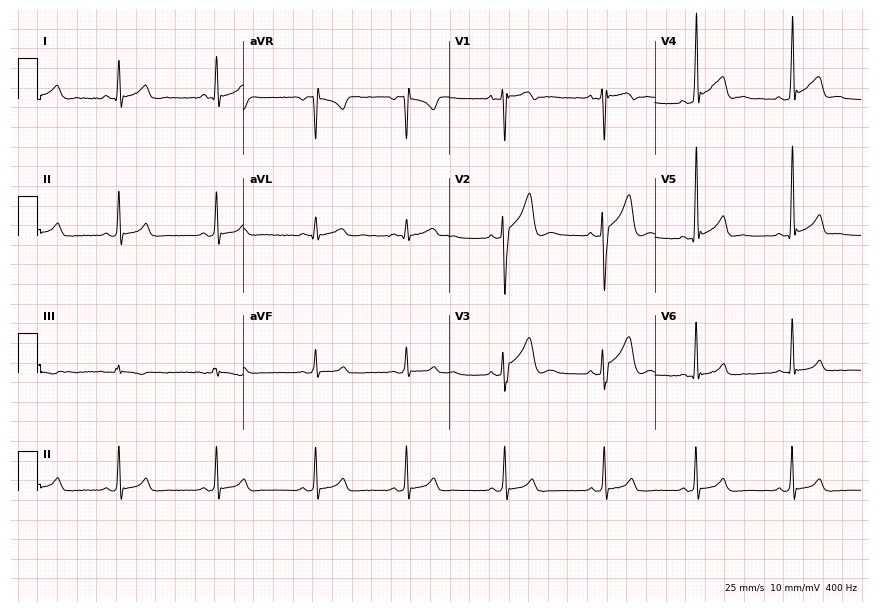
12-lead ECG from a man, 21 years old (8.4-second recording at 400 Hz). No first-degree AV block, right bundle branch block, left bundle branch block, sinus bradycardia, atrial fibrillation or sinus tachycardia recorded for this tracing. Only these six findings were labelled.